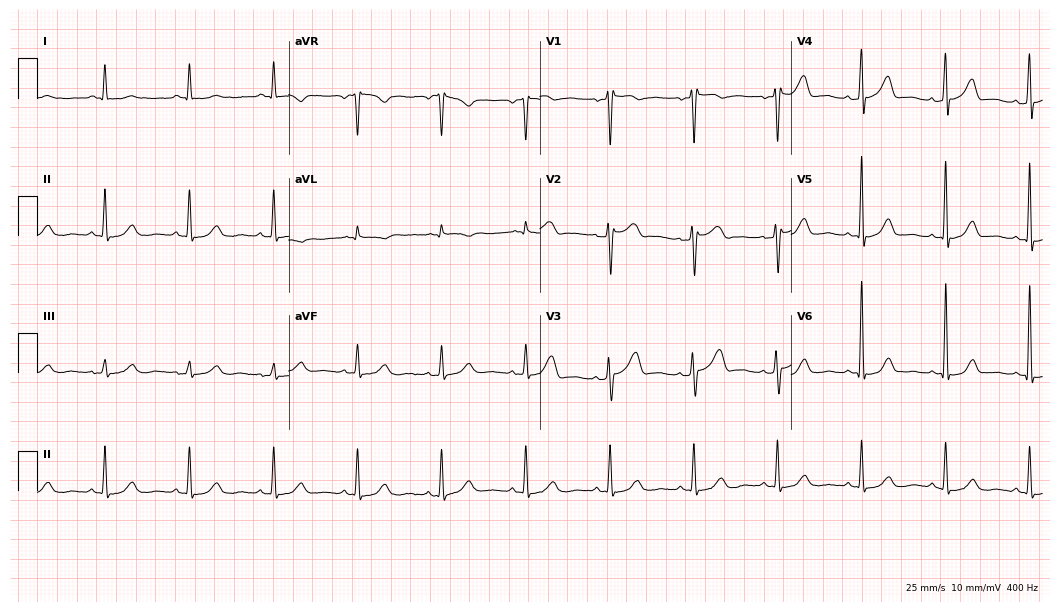
Standard 12-lead ECG recorded from a man, 43 years old (10.2-second recording at 400 Hz). Read as a normal ECG.